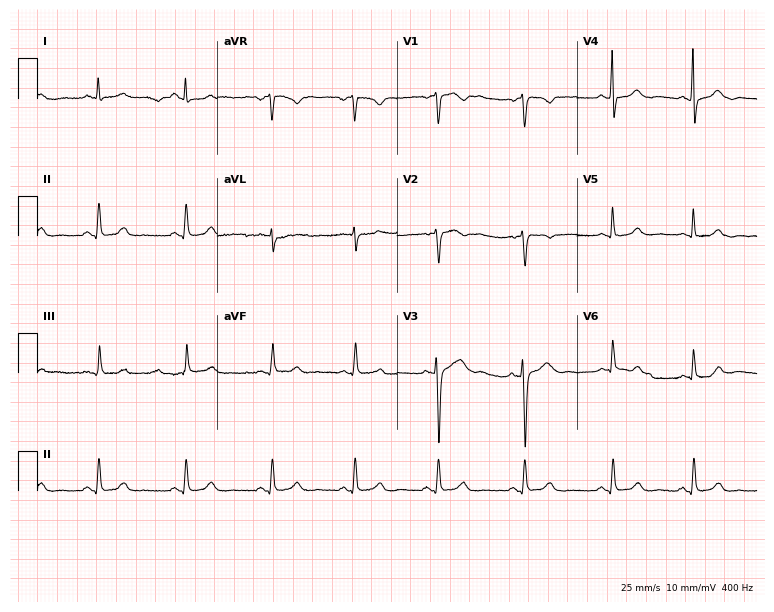
ECG — a 26-year-old female patient. Screened for six findings — first-degree AV block, right bundle branch block, left bundle branch block, sinus bradycardia, atrial fibrillation, sinus tachycardia — none is recorded.